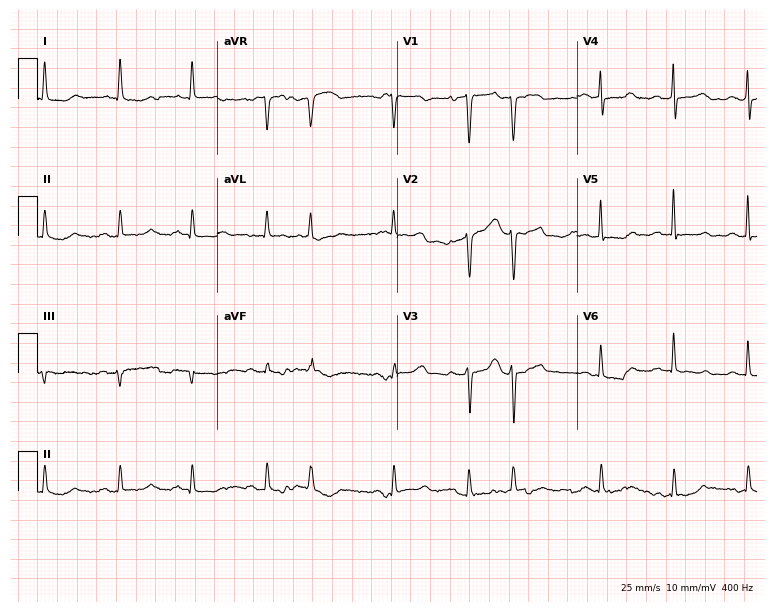
Standard 12-lead ECG recorded from a female patient, 65 years old (7.3-second recording at 400 Hz). None of these six findings is recorded: first-degree AV block, right bundle branch block (RBBB), left bundle branch block (LBBB), sinus bradycardia, atrial fibrillation (AF), sinus tachycardia.